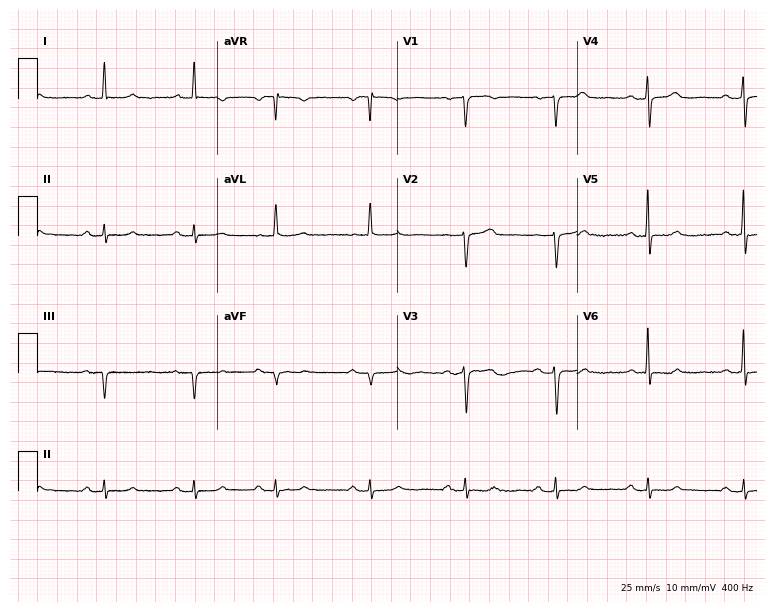
ECG (7.3-second recording at 400 Hz) — an 81-year-old female patient. Labelled as a normal ECG.